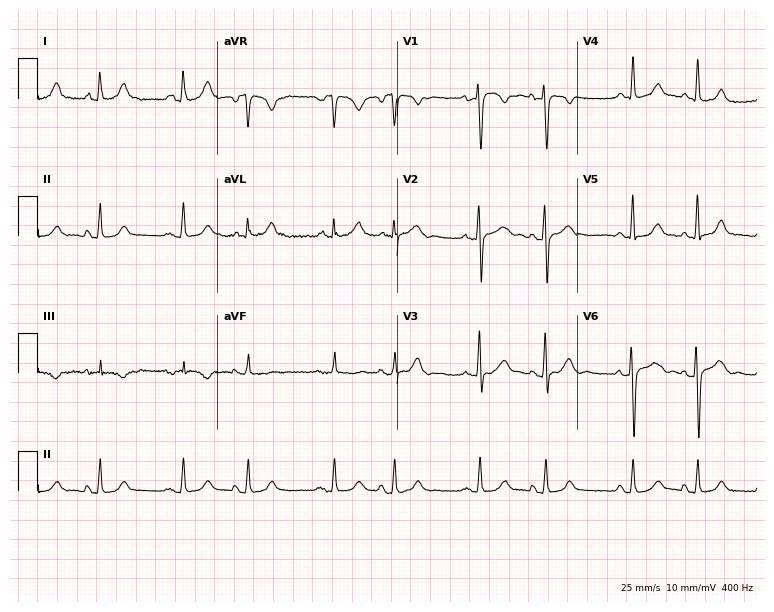
Standard 12-lead ECG recorded from a 34-year-old woman. None of these six findings is recorded: first-degree AV block, right bundle branch block (RBBB), left bundle branch block (LBBB), sinus bradycardia, atrial fibrillation (AF), sinus tachycardia. Only these six findings were labelled.